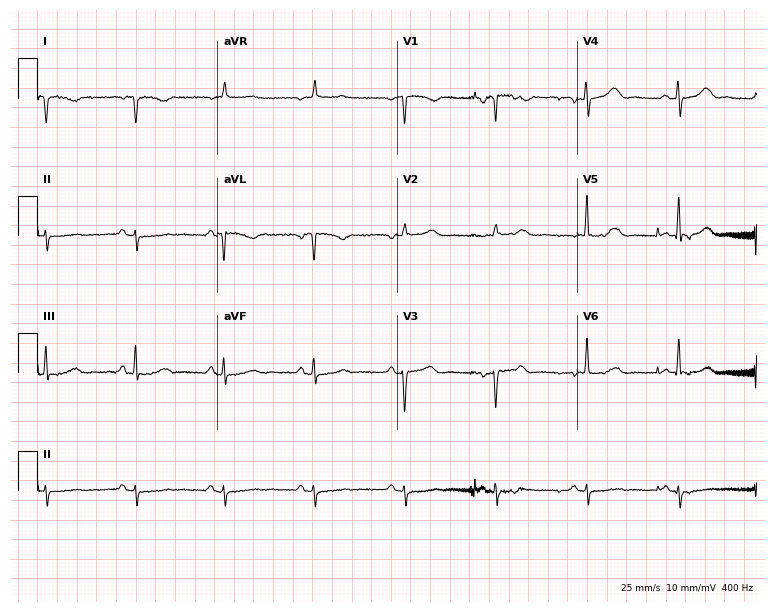
ECG (7.3-second recording at 400 Hz) — a 77-year-old female. Screened for six findings — first-degree AV block, right bundle branch block (RBBB), left bundle branch block (LBBB), sinus bradycardia, atrial fibrillation (AF), sinus tachycardia — none is recorded.